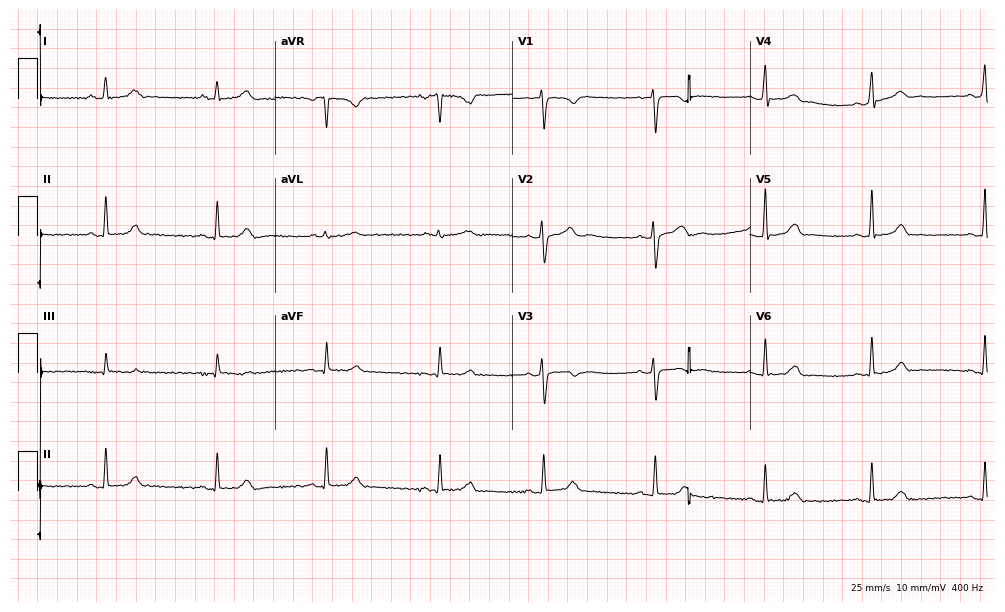
Electrocardiogram (9.7-second recording at 400 Hz), a female patient, 19 years old. Overall reading on record: normal ECG.